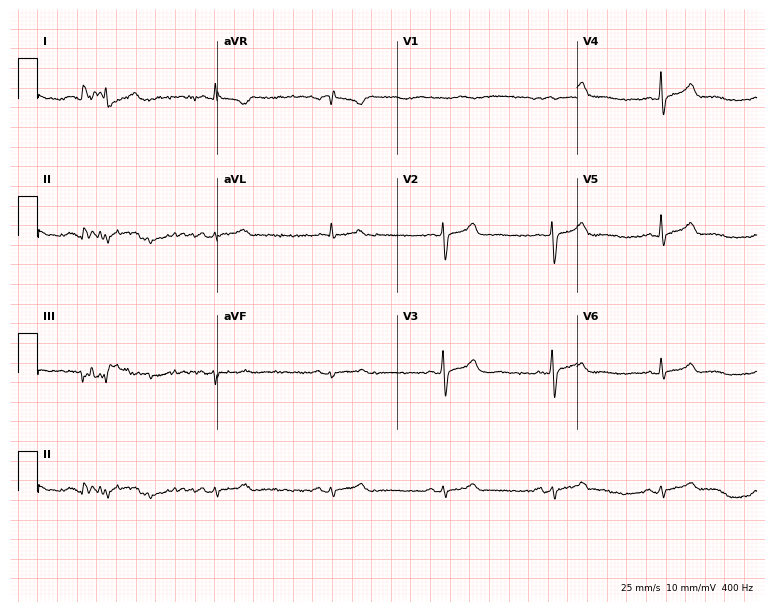
12-lead ECG from a male patient, 74 years old. Recorded interpretation: within normal limits.